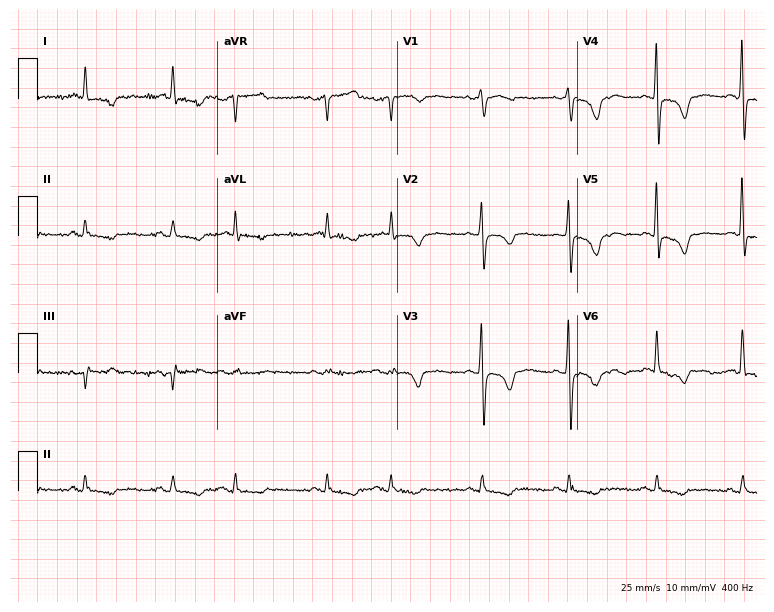
ECG — an 81-year-old woman. Screened for six findings — first-degree AV block, right bundle branch block (RBBB), left bundle branch block (LBBB), sinus bradycardia, atrial fibrillation (AF), sinus tachycardia — none is recorded. Other findings, if any, are not listed.